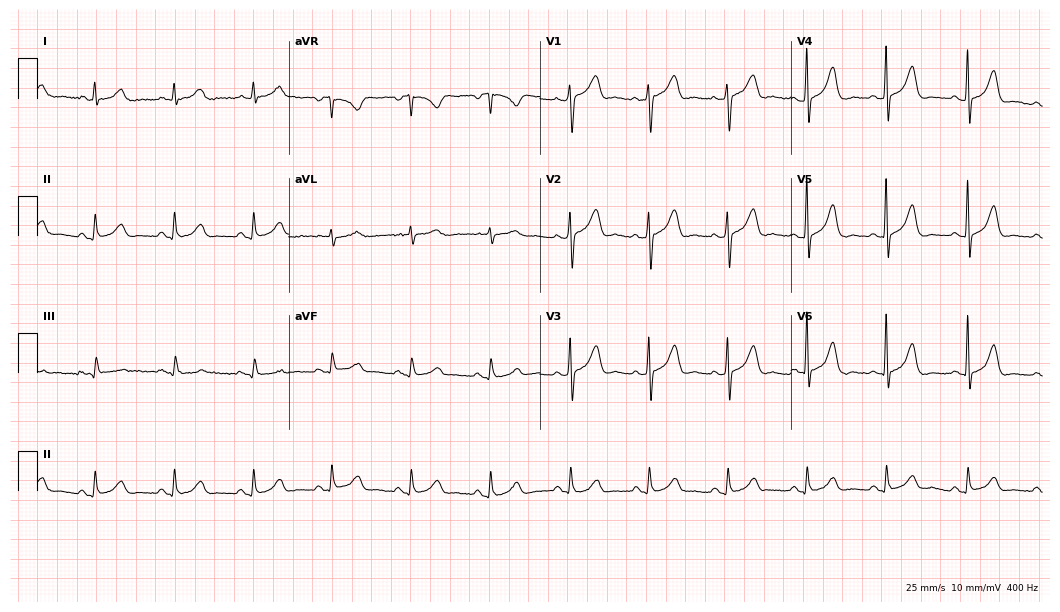
12-lead ECG (10.2-second recording at 400 Hz) from a 70-year-old male. Labelled as a normal ECG.